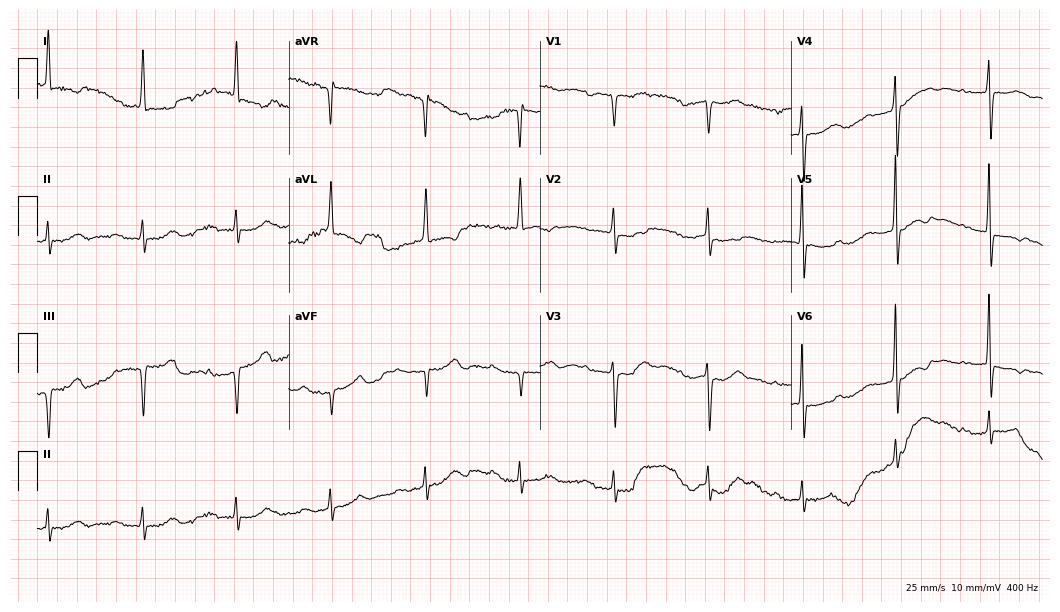
Standard 12-lead ECG recorded from a female, 75 years old (10.2-second recording at 400 Hz). None of these six findings is recorded: first-degree AV block, right bundle branch block, left bundle branch block, sinus bradycardia, atrial fibrillation, sinus tachycardia. Other findings, if any, are not listed.